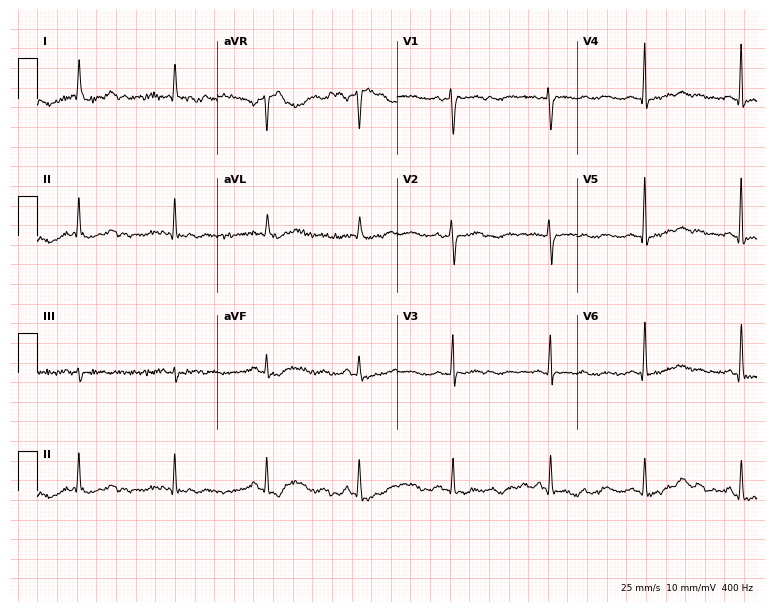
Electrocardiogram, a 40-year-old female. Of the six screened findings (first-degree AV block, right bundle branch block, left bundle branch block, sinus bradycardia, atrial fibrillation, sinus tachycardia), none is recorded.